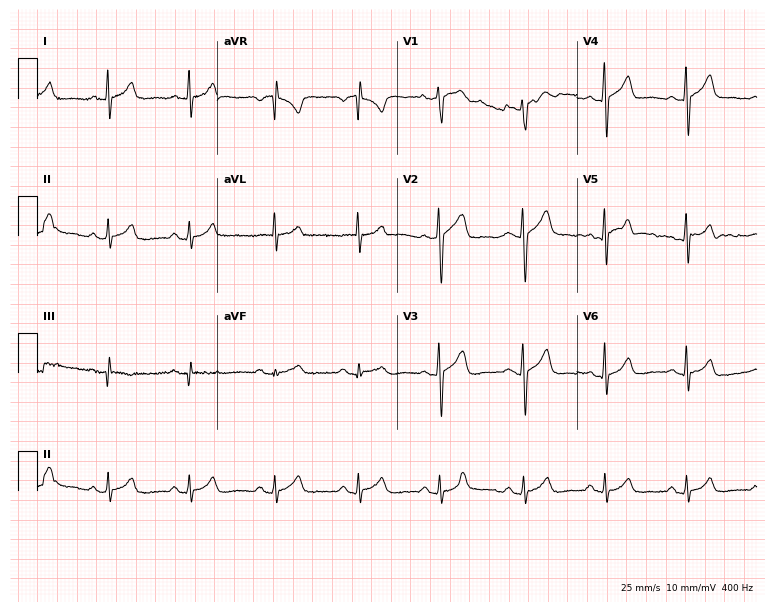
Standard 12-lead ECG recorded from a 26-year-old man (7.3-second recording at 400 Hz). Read as a normal ECG.